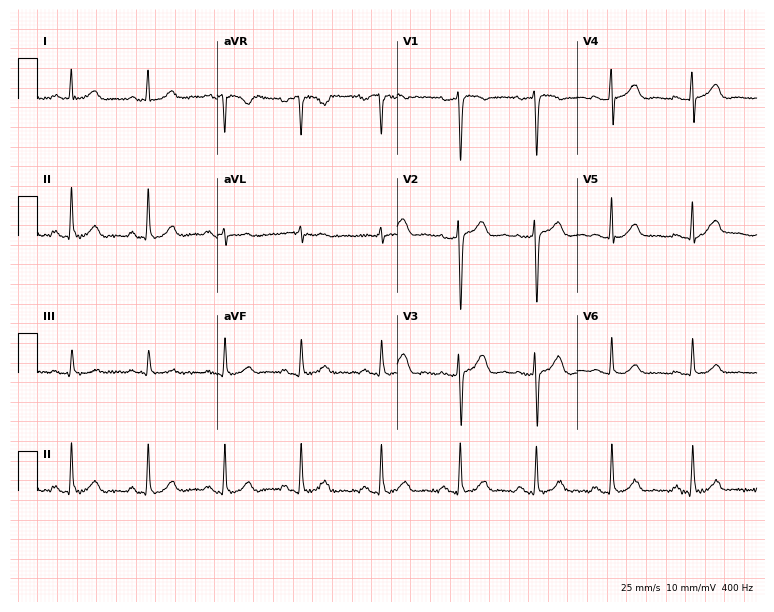
12-lead ECG from a woman, 43 years old (7.3-second recording at 400 Hz). Recorded interpretation: within normal limits.